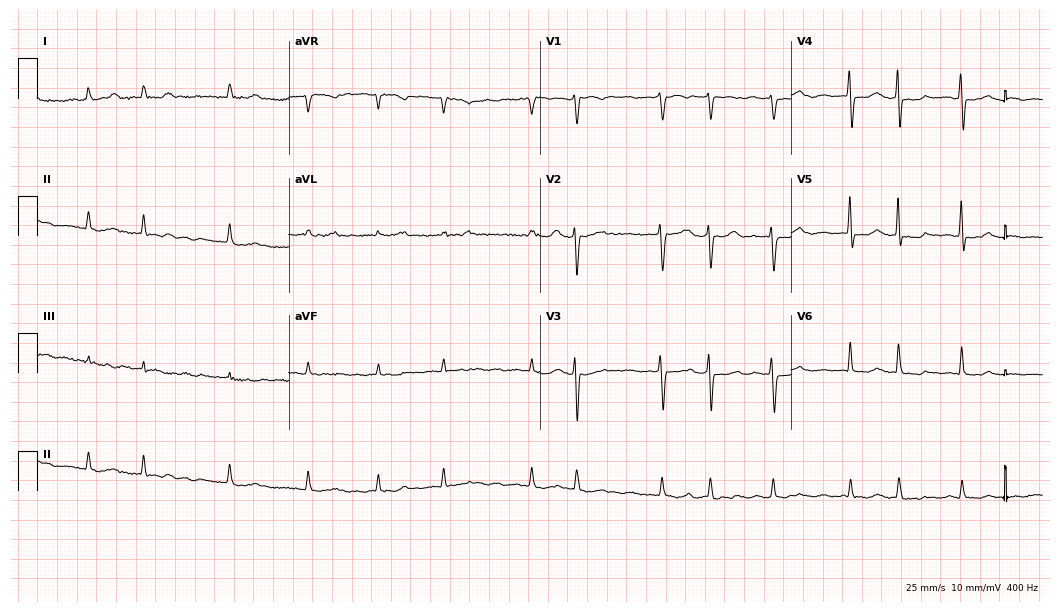
12-lead ECG from a 71-year-old woman. Shows atrial fibrillation.